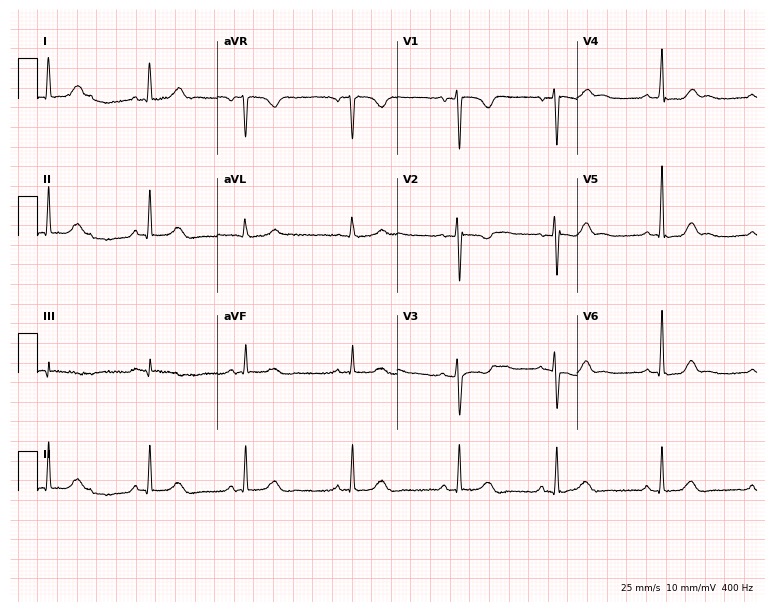
Standard 12-lead ECG recorded from a female, 41 years old (7.3-second recording at 400 Hz). None of these six findings is recorded: first-degree AV block, right bundle branch block (RBBB), left bundle branch block (LBBB), sinus bradycardia, atrial fibrillation (AF), sinus tachycardia. Other findings, if any, are not listed.